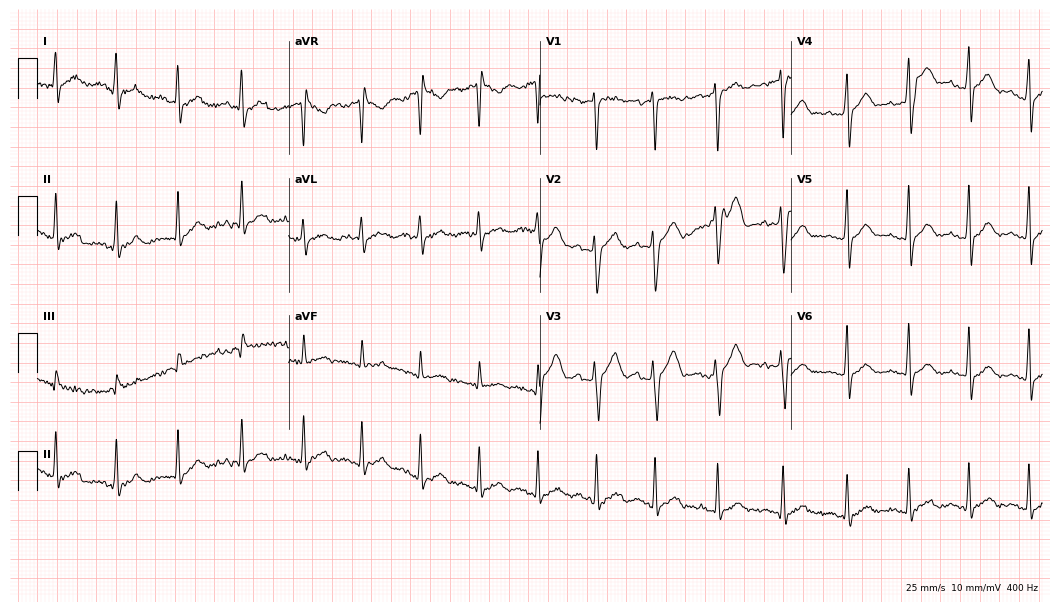
Standard 12-lead ECG recorded from a man, 31 years old (10.2-second recording at 400 Hz). None of these six findings is recorded: first-degree AV block, right bundle branch block (RBBB), left bundle branch block (LBBB), sinus bradycardia, atrial fibrillation (AF), sinus tachycardia.